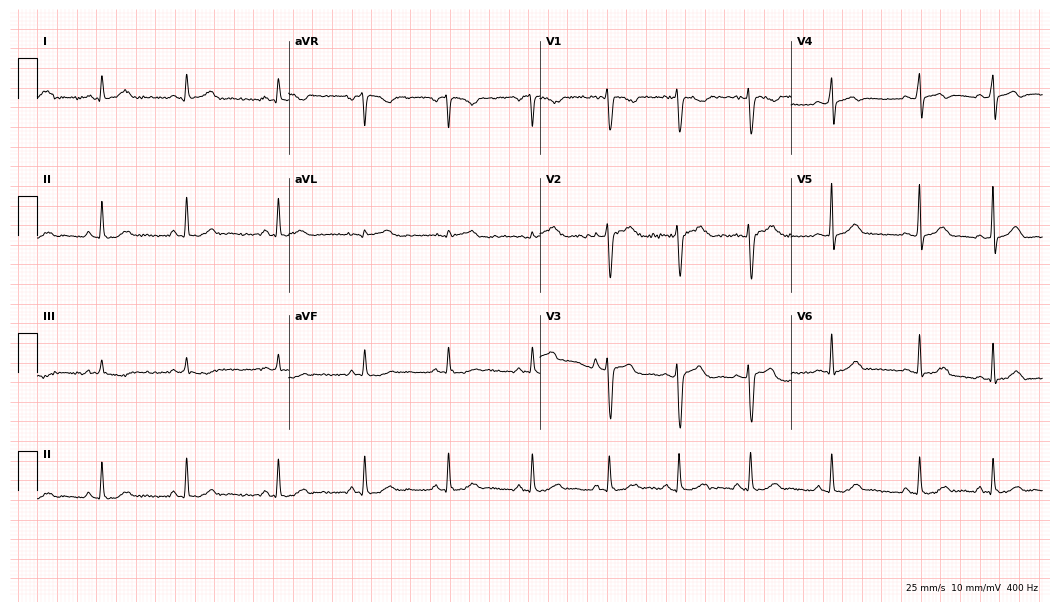
12-lead ECG from a 22-year-old woman. Recorded interpretation: within normal limits.